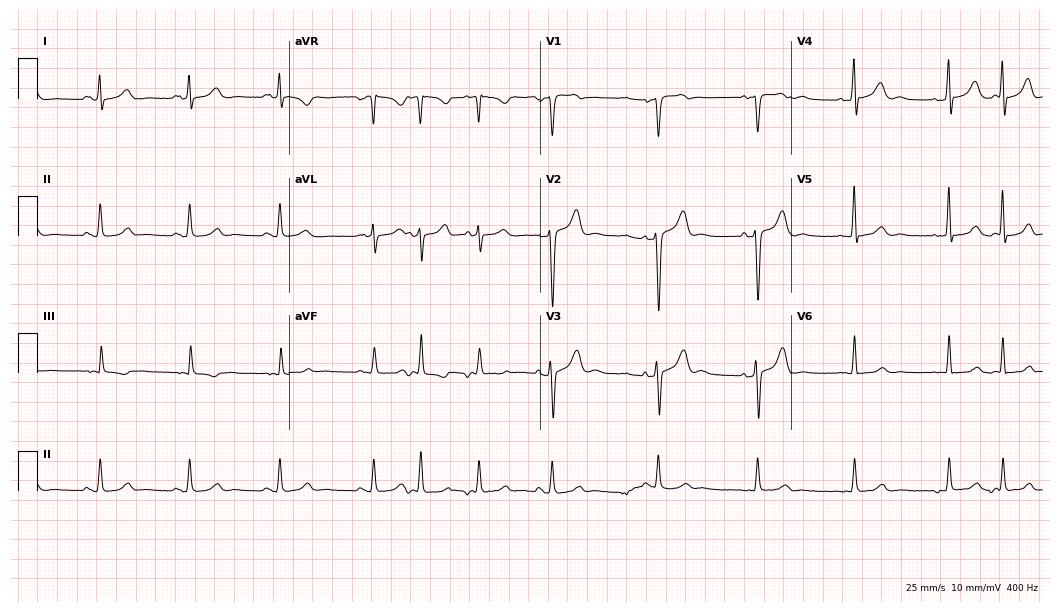
12-lead ECG from a 39-year-old man. Screened for six findings — first-degree AV block, right bundle branch block, left bundle branch block, sinus bradycardia, atrial fibrillation, sinus tachycardia — none is recorded.